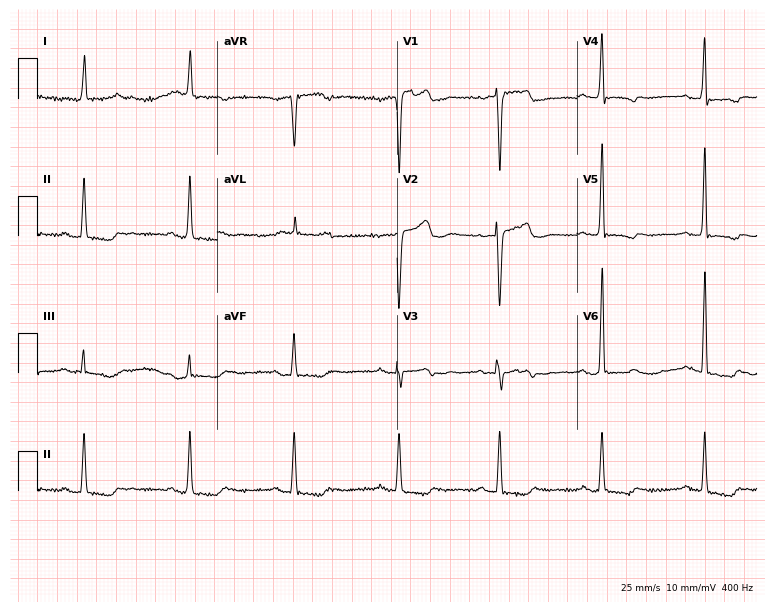
ECG (7.3-second recording at 400 Hz) — an 82-year-old female patient. Screened for six findings — first-degree AV block, right bundle branch block (RBBB), left bundle branch block (LBBB), sinus bradycardia, atrial fibrillation (AF), sinus tachycardia — none is recorded. Other findings, if any, are not listed.